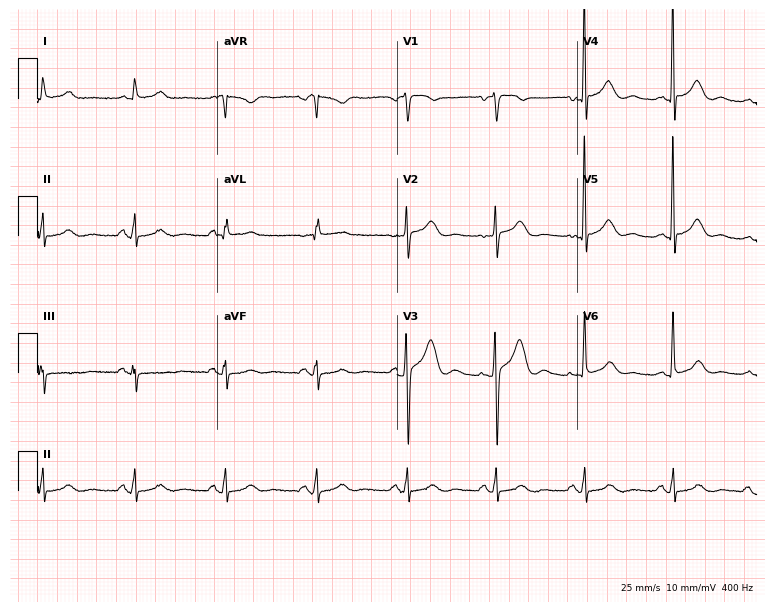
Resting 12-lead electrocardiogram (7.3-second recording at 400 Hz). Patient: a female, 50 years old. Read as a normal ECG.